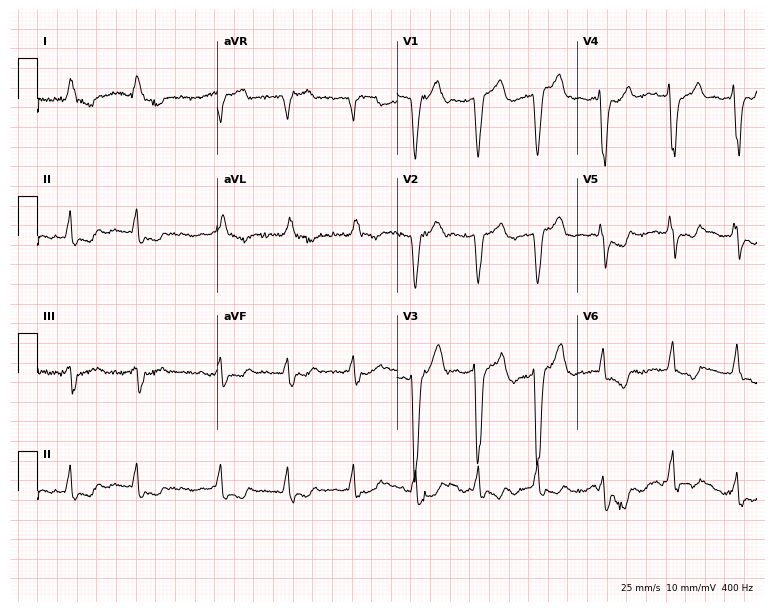
12-lead ECG from a 76-year-old male. Shows left bundle branch block (LBBB), atrial fibrillation (AF).